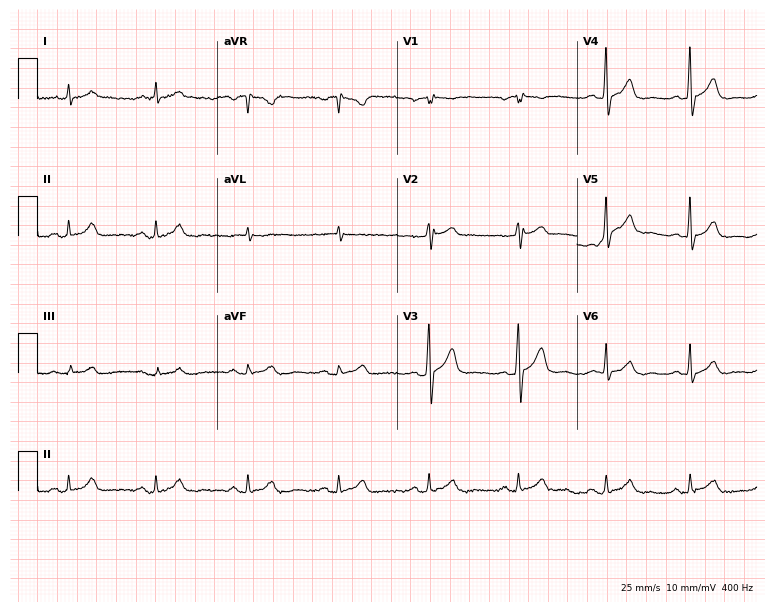
Electrocardiogram (7.3-second recording at 400 Hz), an 80-year-old male patient. Of the six screened findings (first-degree AV block, right bundle branch block (RBBB), left bundle branch block (LBBB), sinus bradycardia, atrial fibrillation (AF), sinus tachycardia), none is recorded. Only these six findings were labelled.